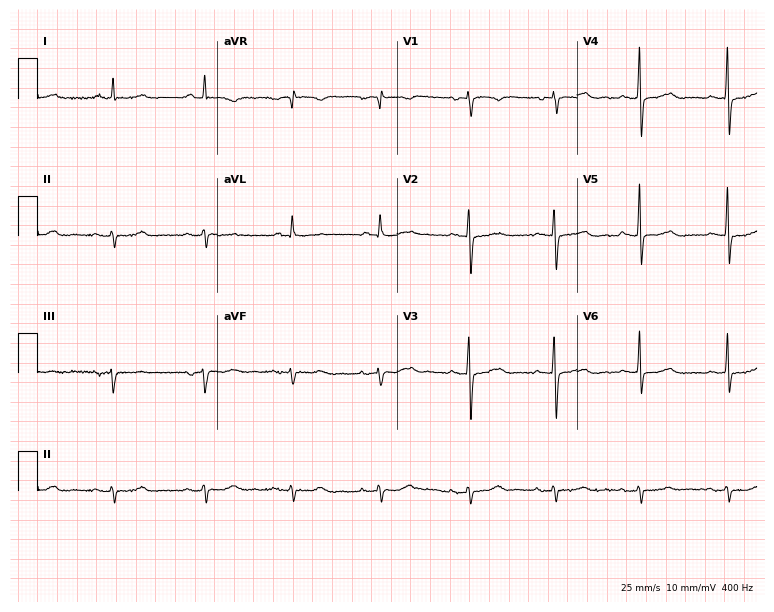
12-lead ECG (7.3-second recording at 400 Hz) from a female, 73 years old. Screened for six findings — first-degree AV block, right bundle branch block (RBBB), left bundle branch block (LBBB), sinus bradycardia, atrial fibrillation (AF), sinus tachycardia — none is recorded.